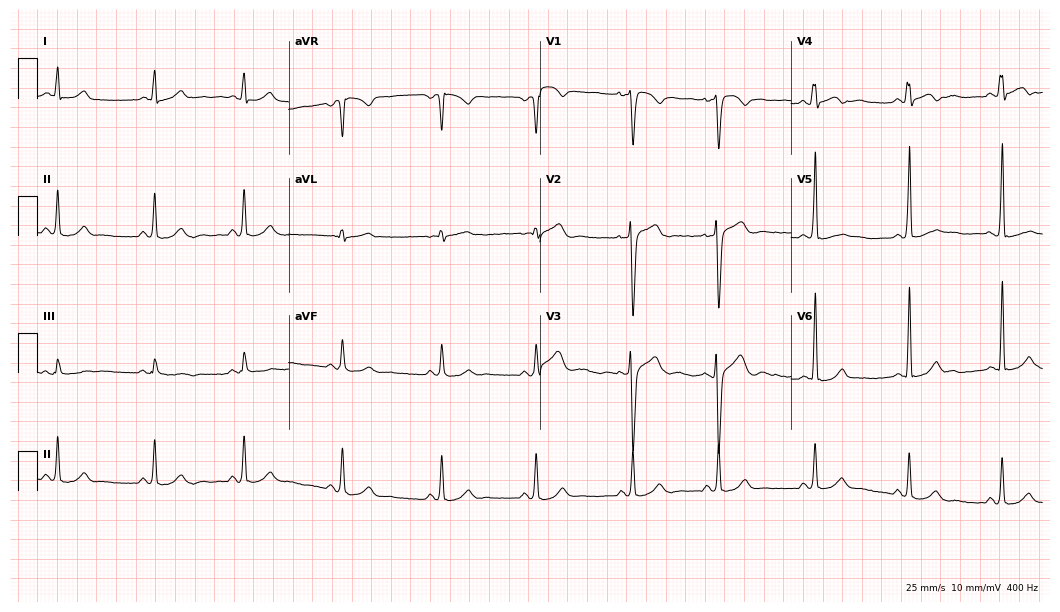
Resting 12-lead electrocardiogram. Patient: a man, 24 years old. Read as a normal ECG.